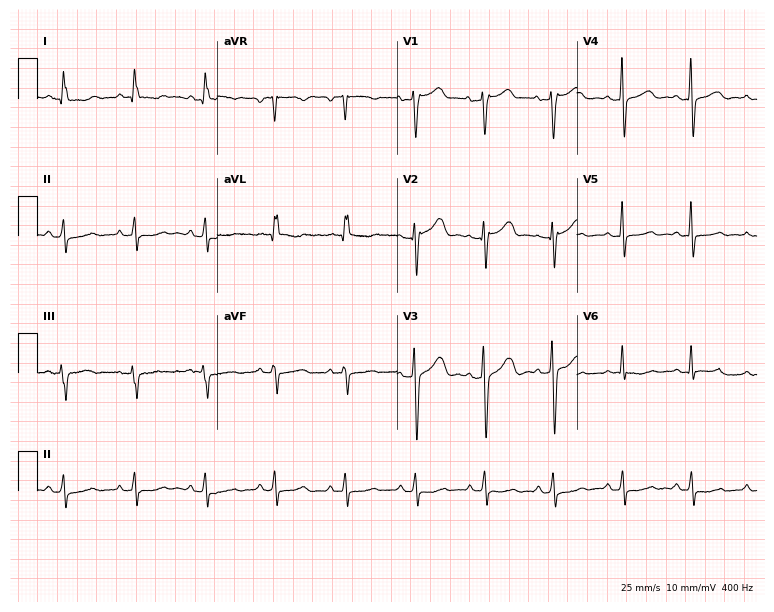
Standard 12-lead ECG recorded from a female, 49 years old. None of these six findings is recorded: first-degree AV block, right bundle branch block (RBBB), left bundle branch block (LBBB), sinus bradycardia, atrial fibrillation (AF), sinus tachycardia. Findings outside these six are not listed.